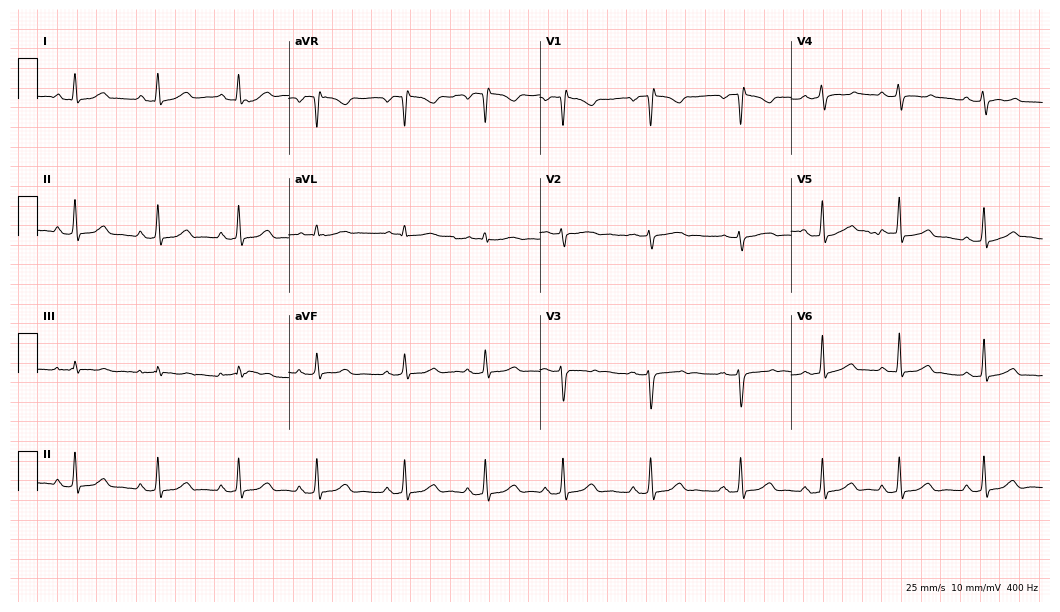
Electrocardiogram (10.2-second recording at 400 Hz), a female, 21 years old. Of the six screened findings (first-degree AV block, right bundle branch block (RBBB), left bundle branch block (LBBB), sinus bradycardia, atrial fibrillation (AF), sinus tachycardia), none is recorded. Other findings, if any, are not listed.